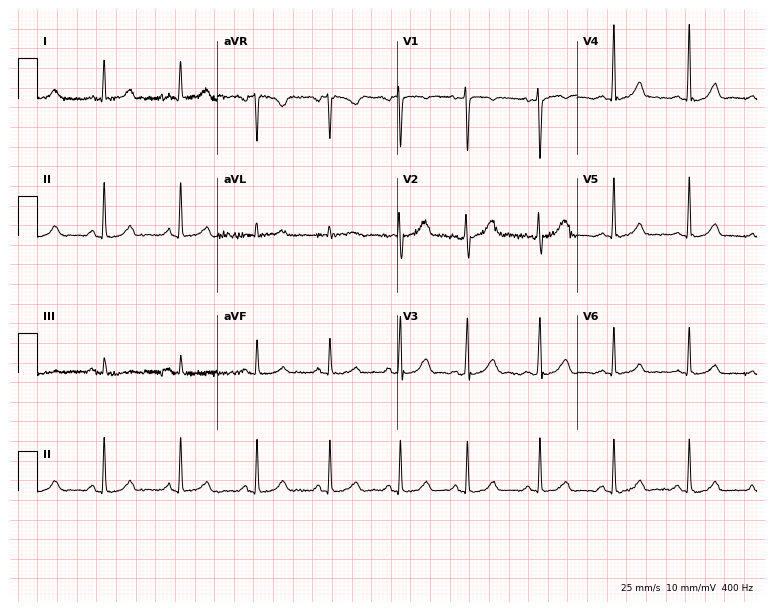
12-lead ECG (7.3-second recording at 400 Hz) from a 40-year-old woman. Labelled as a normal ECG.